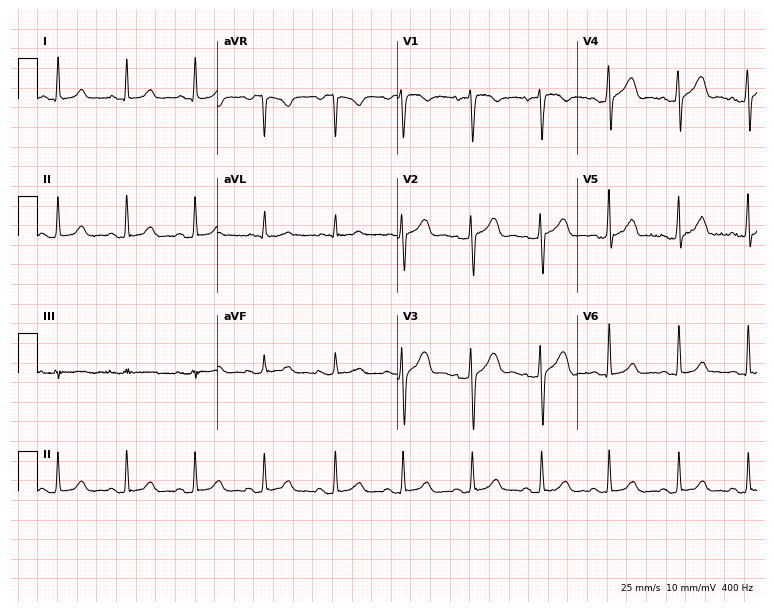
12-lead ECG from a 32-year-old male (7.3-second recording at 400 Hz). Recorded interpretation: within normal limits.